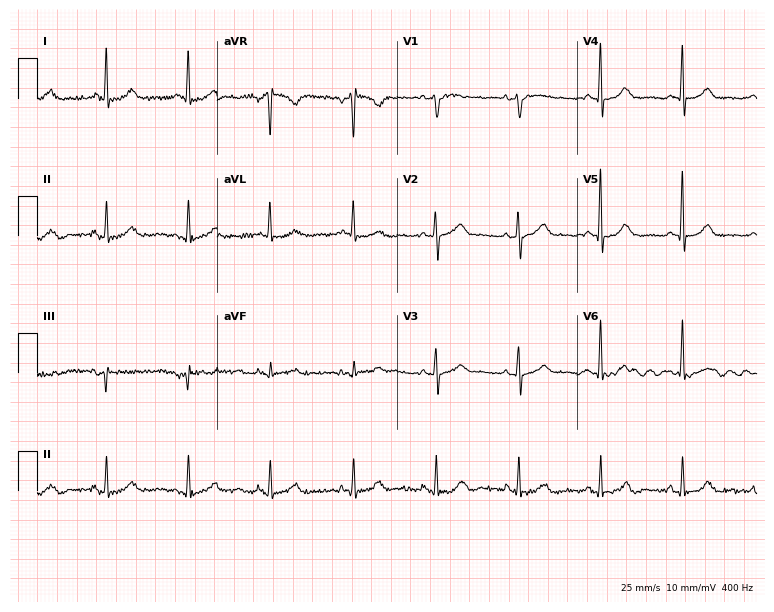
ECG — a female patient, 76 years old. Screened for six findings — first-degree AV block, right bundle branch block, left bundle branch block, sinus bradycardia, atrial fibrillation, sinus tachycardia — none is recorded.